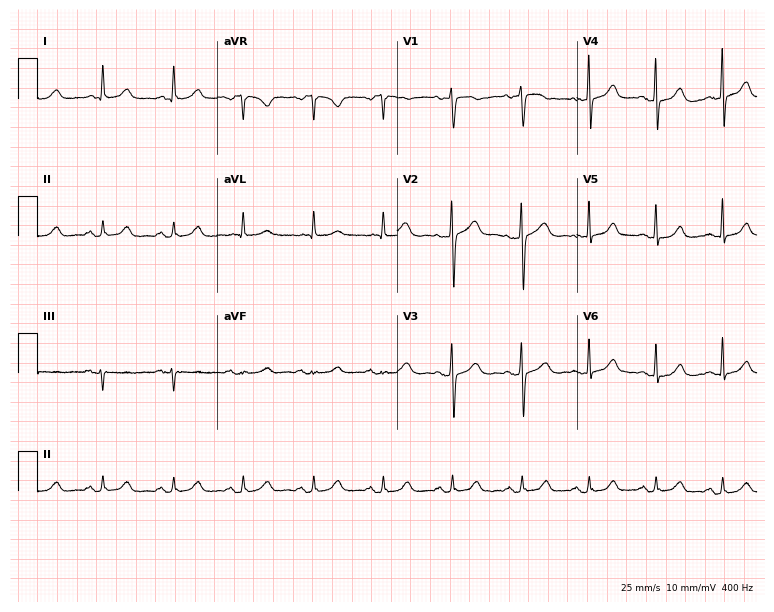
Resting 12-lead electrocardiogram (7.3-second recording at 400 Hz). Patient: a female, 70 years old. Read as a normal ECG.